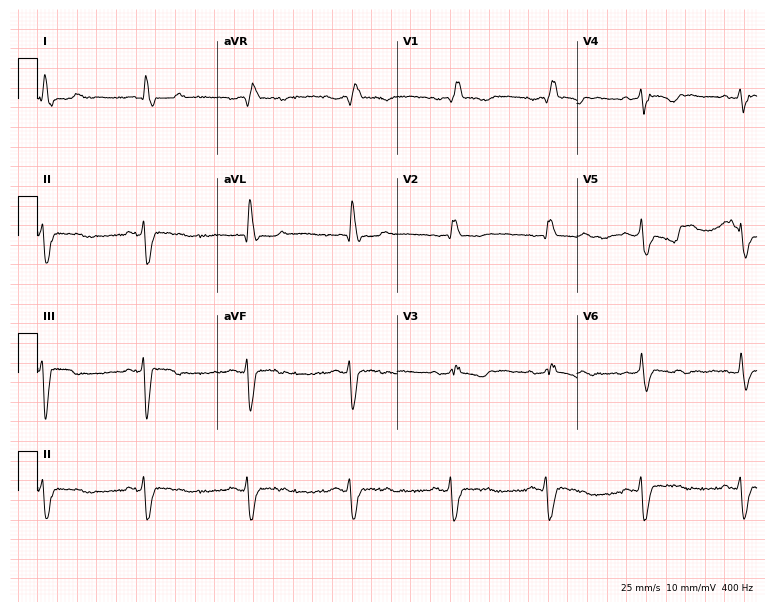
Standard 12-lead ECG recorded from an 84-year-old male patient. The tracing shows right bundle branch block.